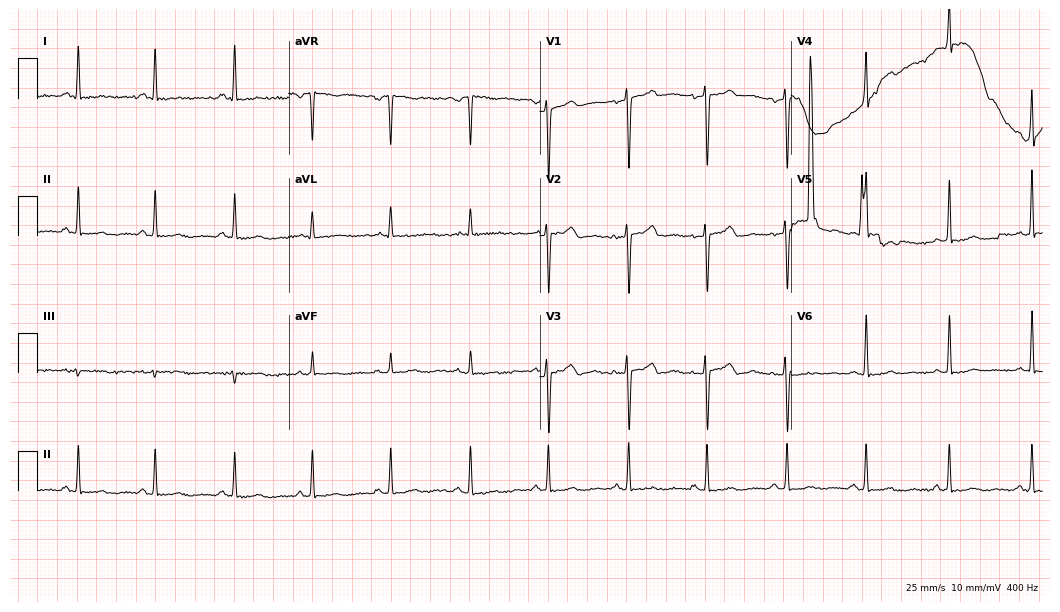
Electrocardiogram (10.2-second recording at 400 Hz), a woman, 38 years old. Of the six screened findings (first-degree AV block, right bundle branch block, left bundle branch block, sinus bradycardia, atrial fibrillation, sinus tachycardia), none is recorded. Only these six findings were labelled.